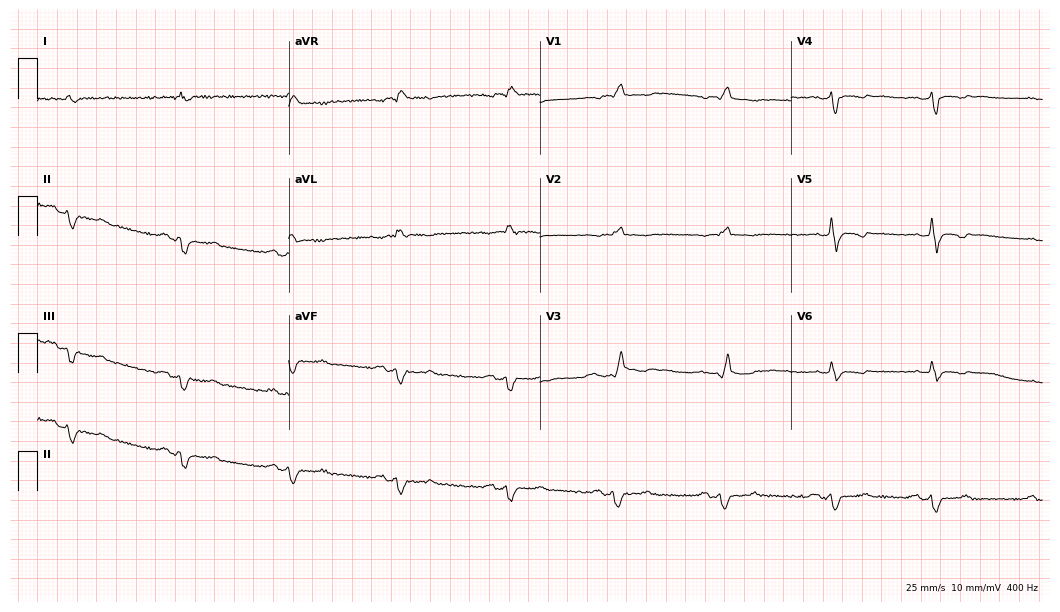
12-lead ECG from a male, 64 years old (10.2-second recording at 400 Hz). Shows right bundle branch block.